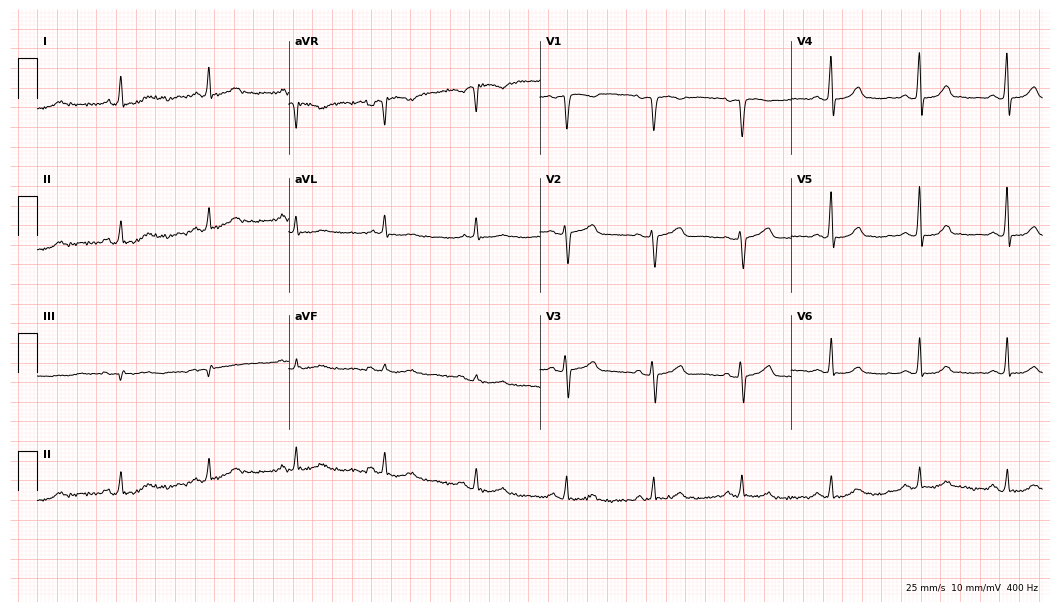
Electrocardiogram (10.2-second recording at 400 Hz), a 57-year-old female patient. Overall reading on record: normal ECG.